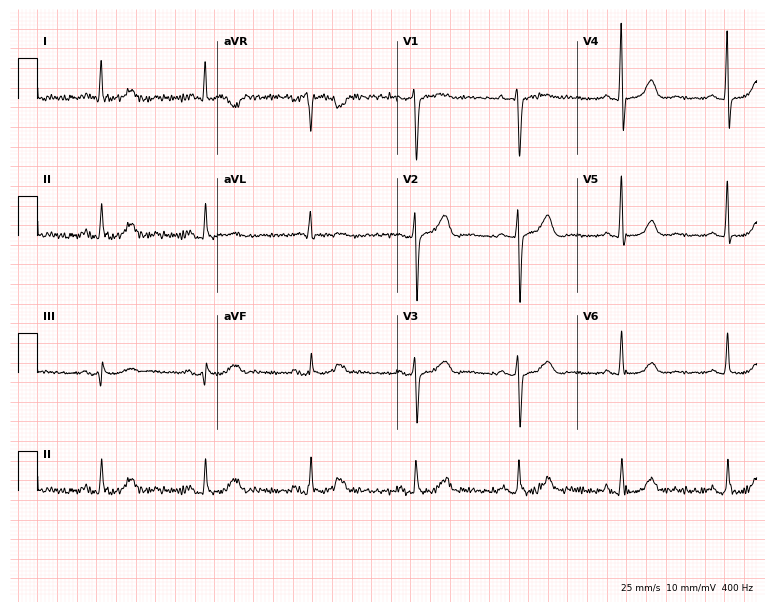
Electrocardiogram (7.3-second recording at 400 Hz), a female, 75 years old. Overall reading on record: normal ECG.